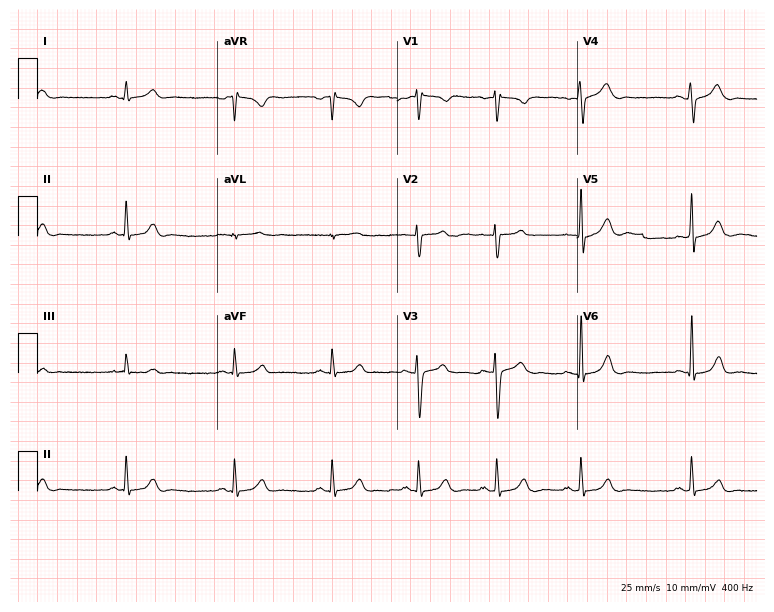
Resting 12-lead electrocardiogram (7.3-second recording at 400 Hz). Patient: a 23-year-old woman. None of these six findings is recorded: first-degree AV block, right bundle branch block, left bundle branch block, sinus bradycardia, atrial fibrillation, sinus tachycardia. Findings outside these six are not listed.